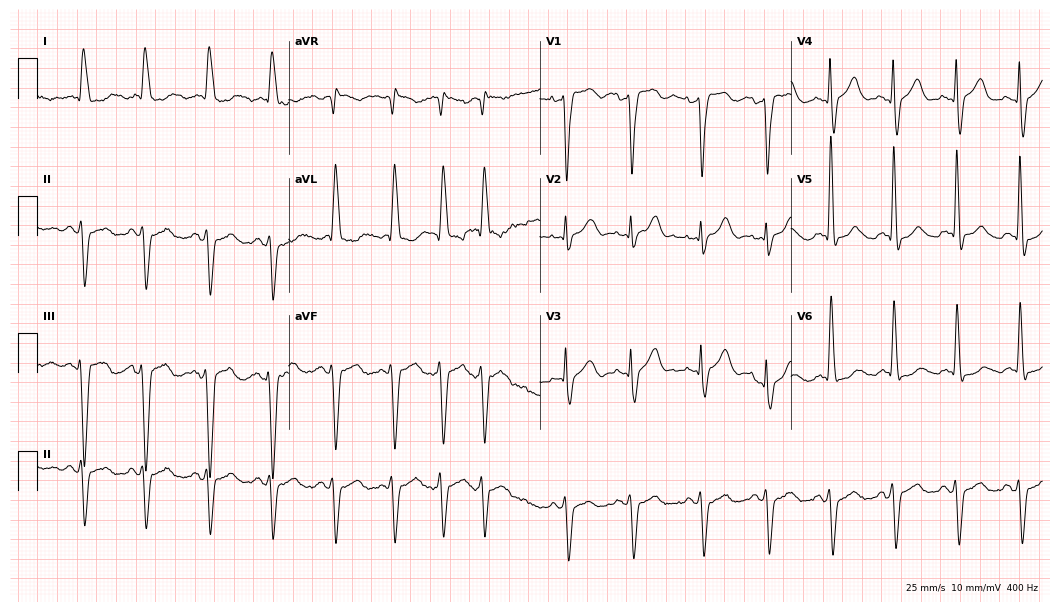
12-lead ECG from a man, 75 years old (10.2-second recording at 400 Hz). No first-degree AV block, right bundle branch block (RBBB), left bundle branch block (LBBB), sinus bradycardia, atrial fibrillation (AF) or sinus tachycardia recorded for this tracing. Findings outside these six are not listed.